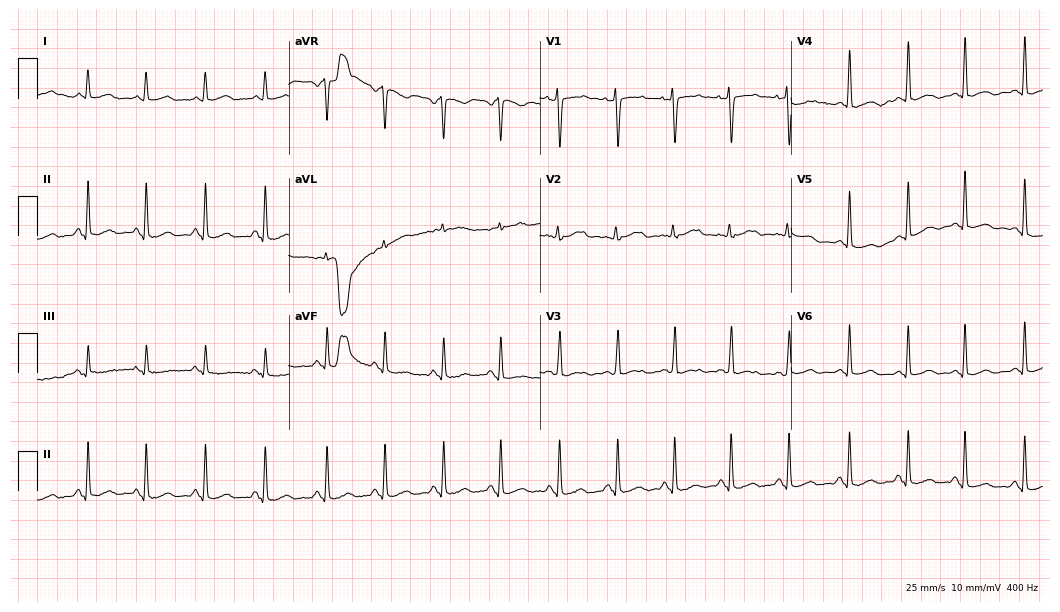
12-lead ECG from a 33-year-old female patient. Recorded interpretation: within normal limits.